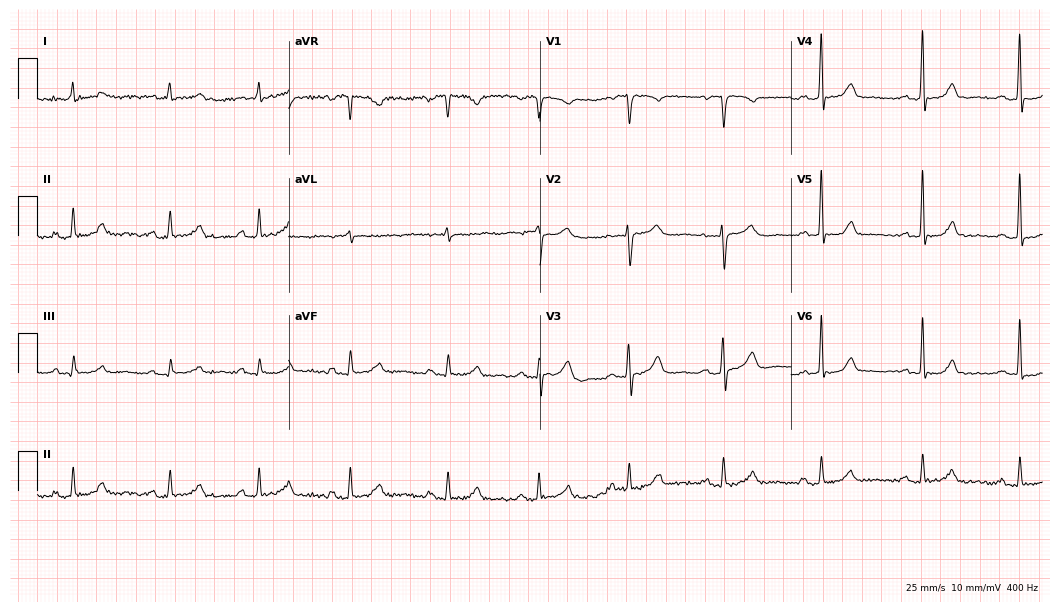
12-lead ECG from a female, 43 years old (10.2-second recording at 400 Hz). Recorded interpretation: within normal limits.